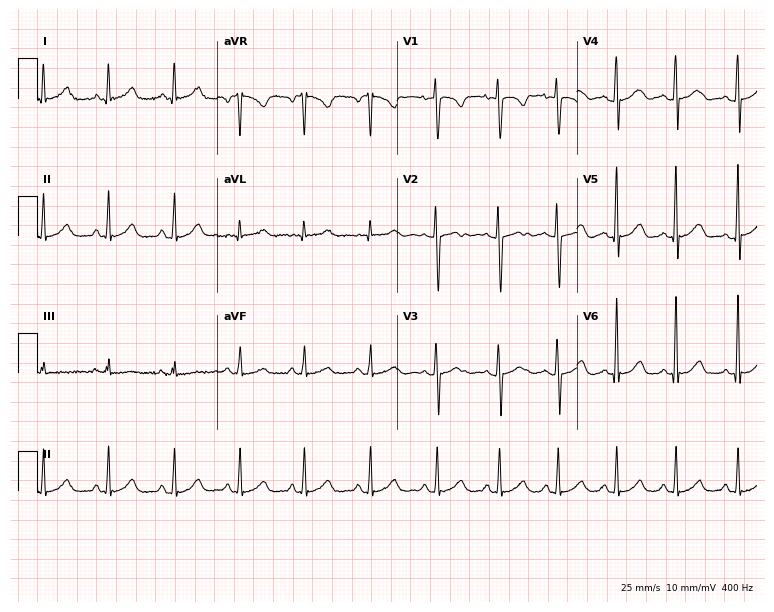
ECG — a female patient, 28 years old. Labelled as a normal ECG.